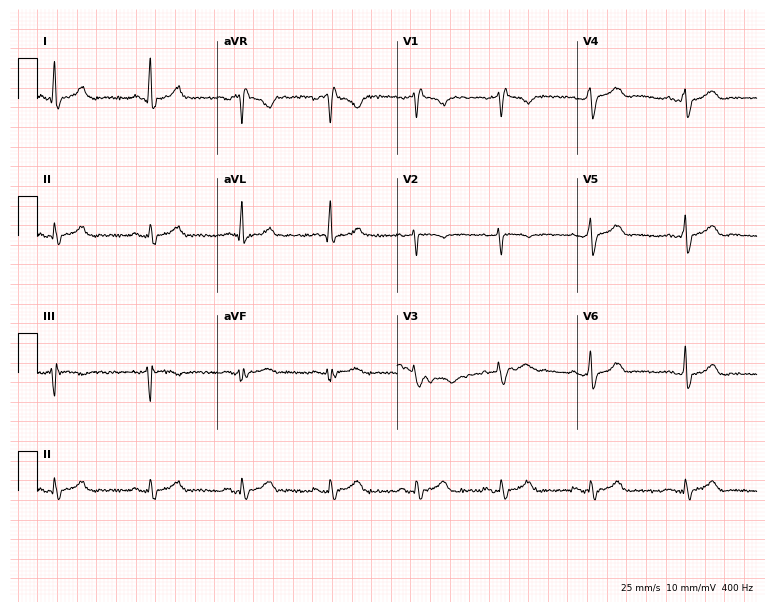
Electrocardiogram, a 36-year-old male. Of the six screened findings (first-degree AV block, right bundle branch block, left bundle branch block, sinus bradycardia, atrial fibrillation, sinus tachycardia), none is recorded.